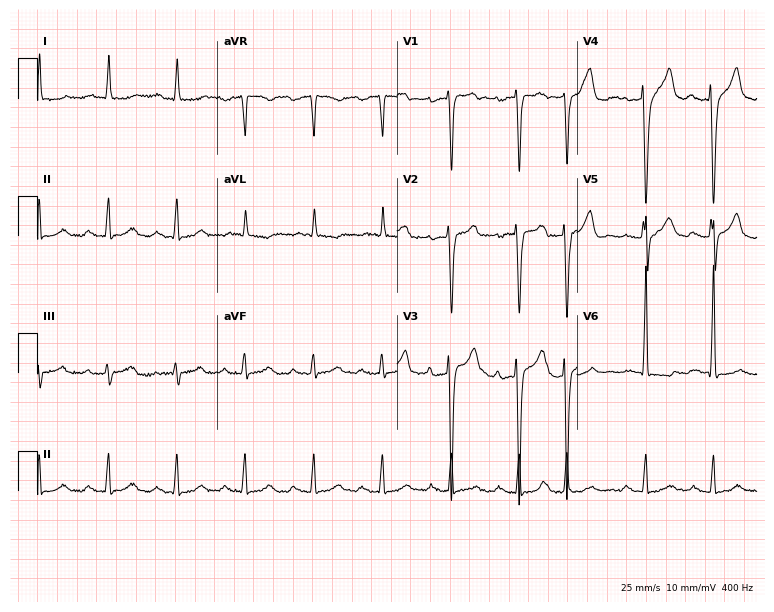
12-lead ECG from a male patient, 43 years old. No first-degree AV block, right bundle branch block, left bundle branch block, sinus bradycardia, atrial fibrillation or sinus tachycardia recorded for this tracing. Findings outside these six are not listed.